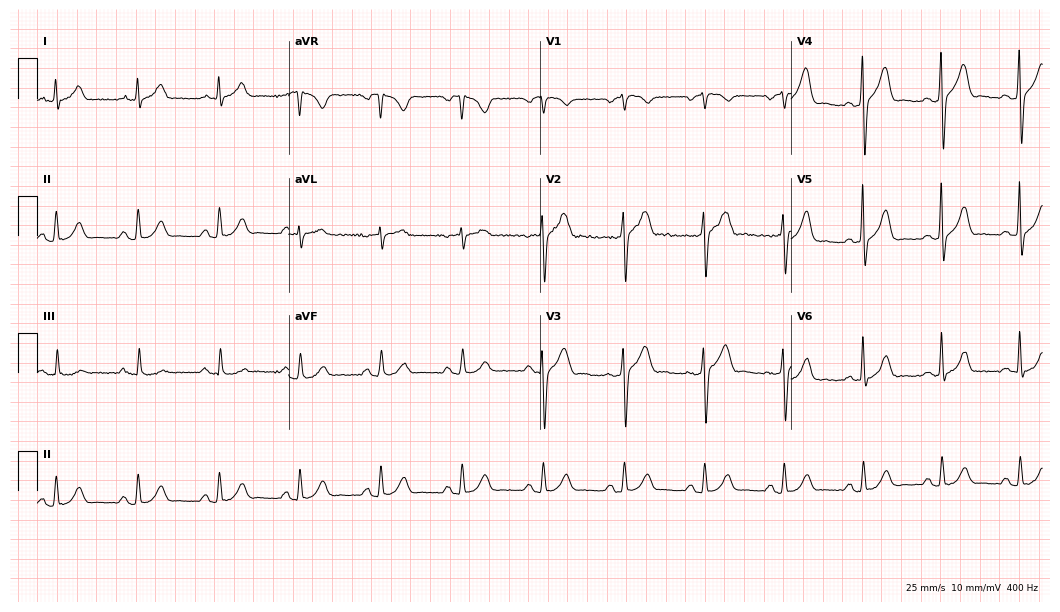
Standard 12-lead ECG recorded from a man, 62 years old (10.2-second recording at 400 Hz). Read as a normal ECG.